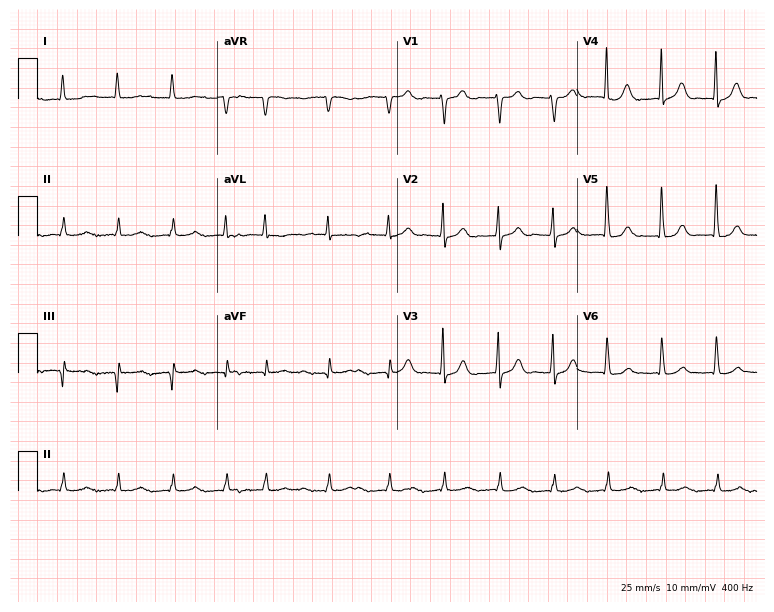
12-lead ECG from an 84-year-old woman (7.3-second recording at 400 Hz). Shows atrial fibrillation.